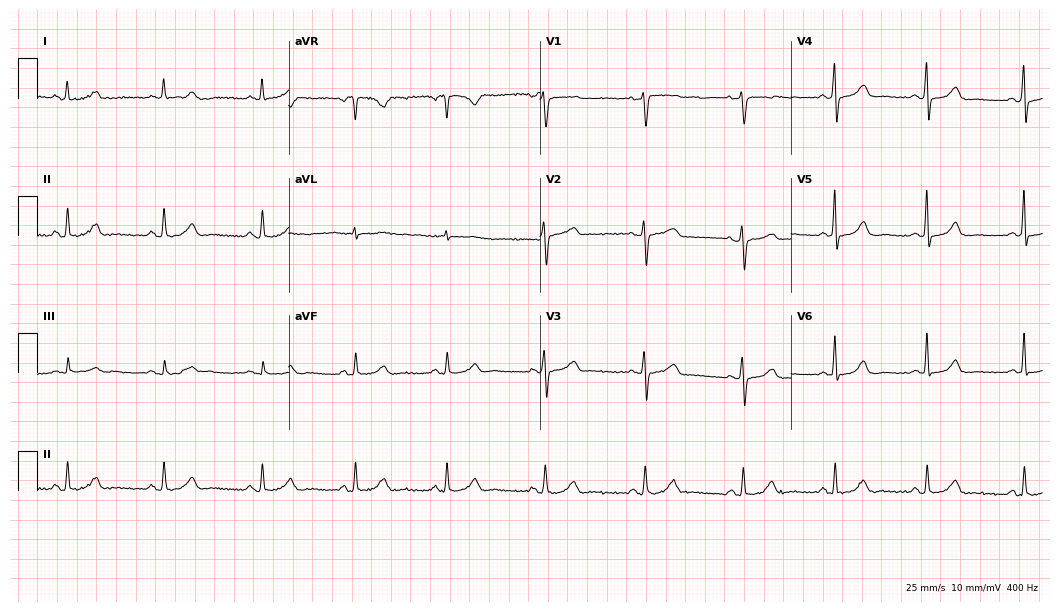
Resting 12-lead electrocardiogram. Patient: a male, 29 years old. Read as a normal ECG.